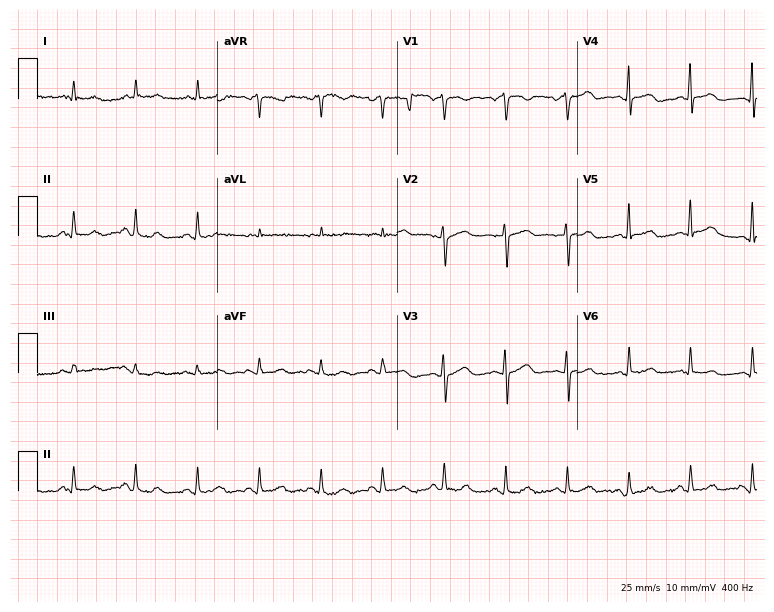
12-lead ECG from a male, 75 years old (7.3-second recording at 400 Hz). No first-degree AV block, right bundle branch block (RBBB), left bundle branch block (LBBB), sinus bradycardia, atrial fibrillation (AF) or sinus tachycardia recorded for this tracing.